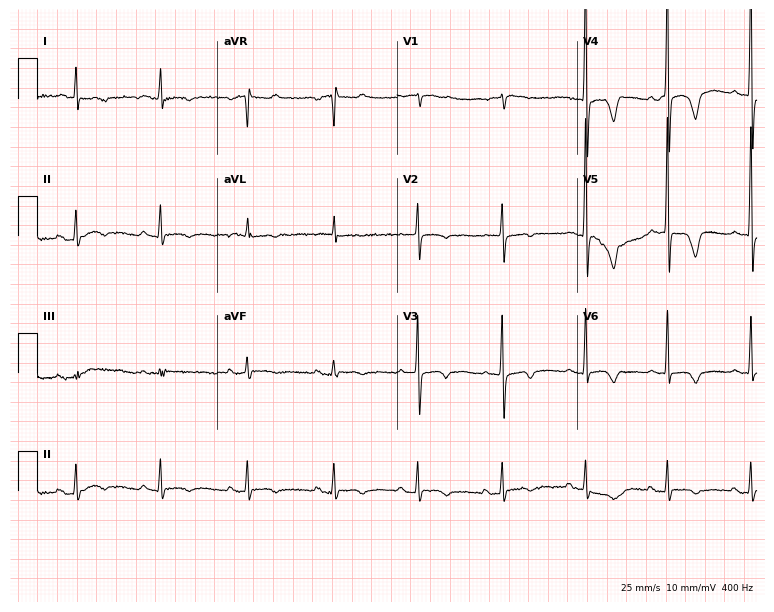
Standard 12-lead ECG recorded from a female patient, 77 years old. None of these six findings is recorded: first-degree AV block, right bundle branch block, left bundle branch block, sinus bradycardia, atrial fibrillation, sinus tachycardia. Findings outside these six are not listed.